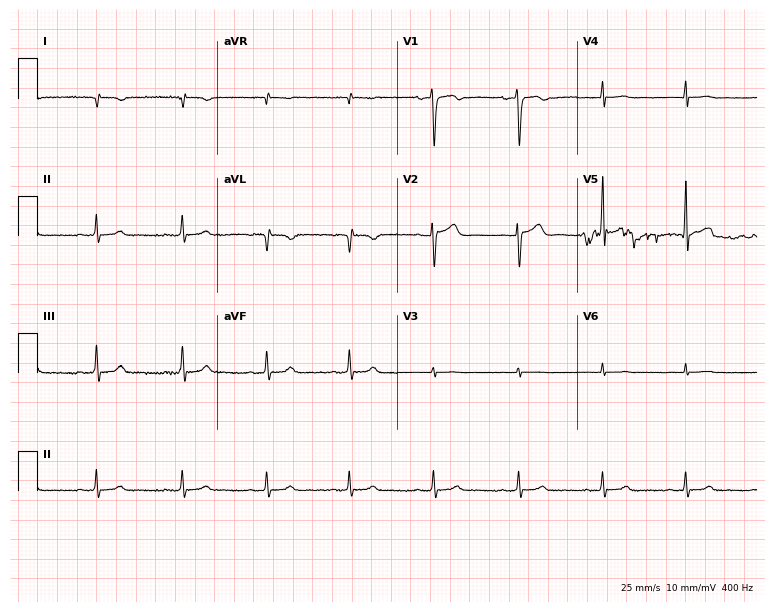
12-lead ECG from a male, 35 years old. Screened for six findings — first-degree AV block, right bundle branch block, left bundle branch block, sinus bradycardia, atrial fibrillation, sinus tachycardia — none is recorded.